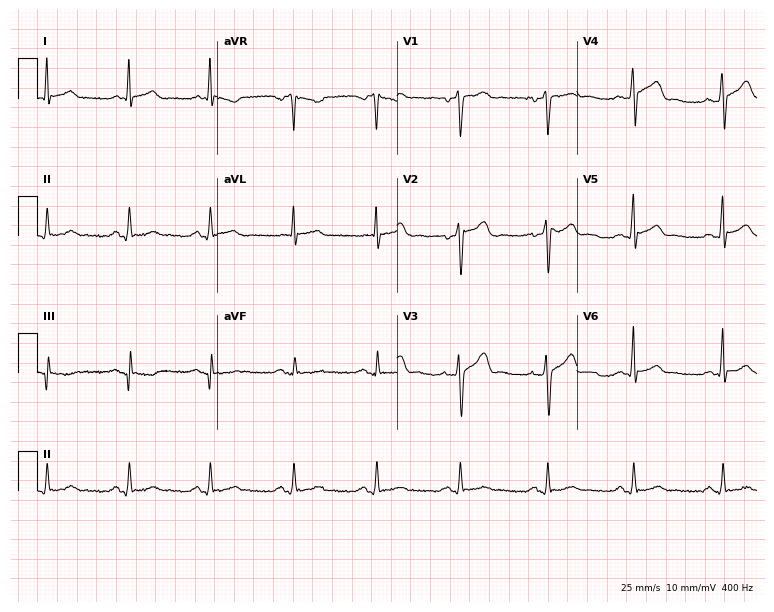
Standard 12-lead ECG recorded from a 48-year-old male. Read as a normal ECG.